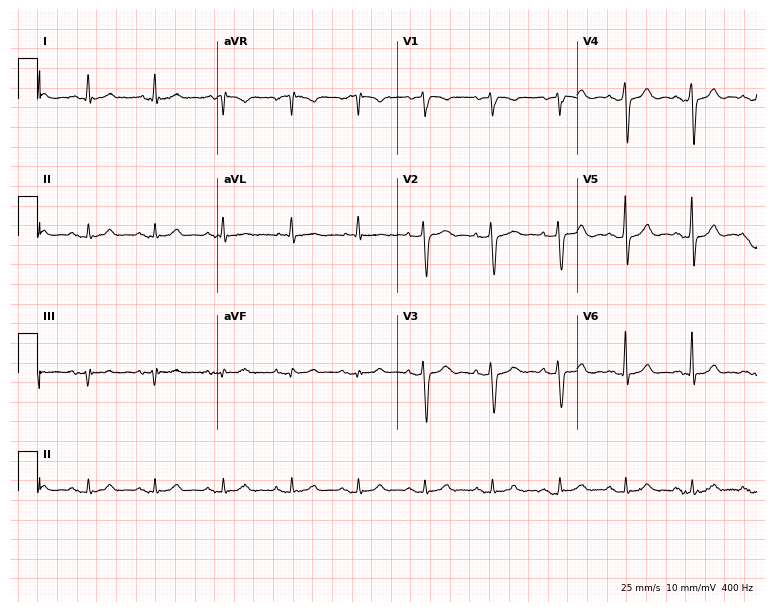
Standard 12-lead ECG recorded from a male patient, 83 years old (7.3-second recording at 400 Hz). Read as a normal ECG.